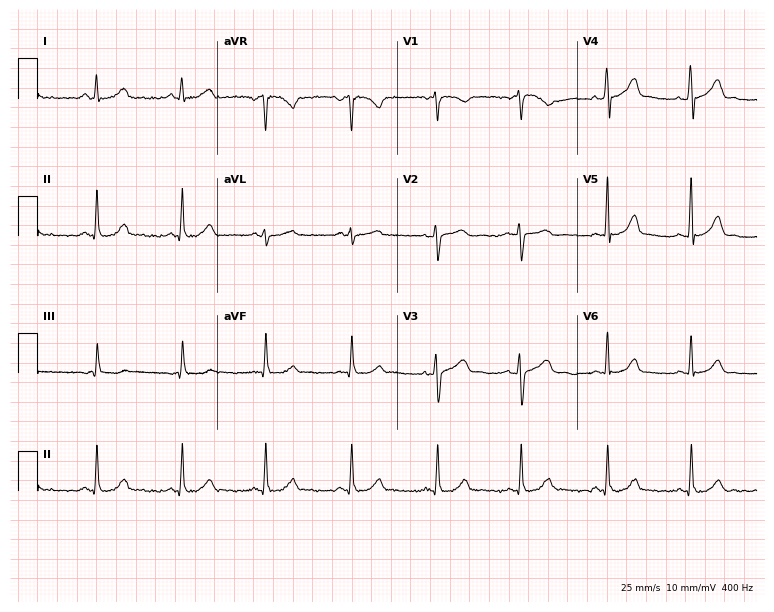
Standard 12-lead ECG recorded from a 44-year-old female (7.3-second recording at 400 Hz). Read as a normal ECG.